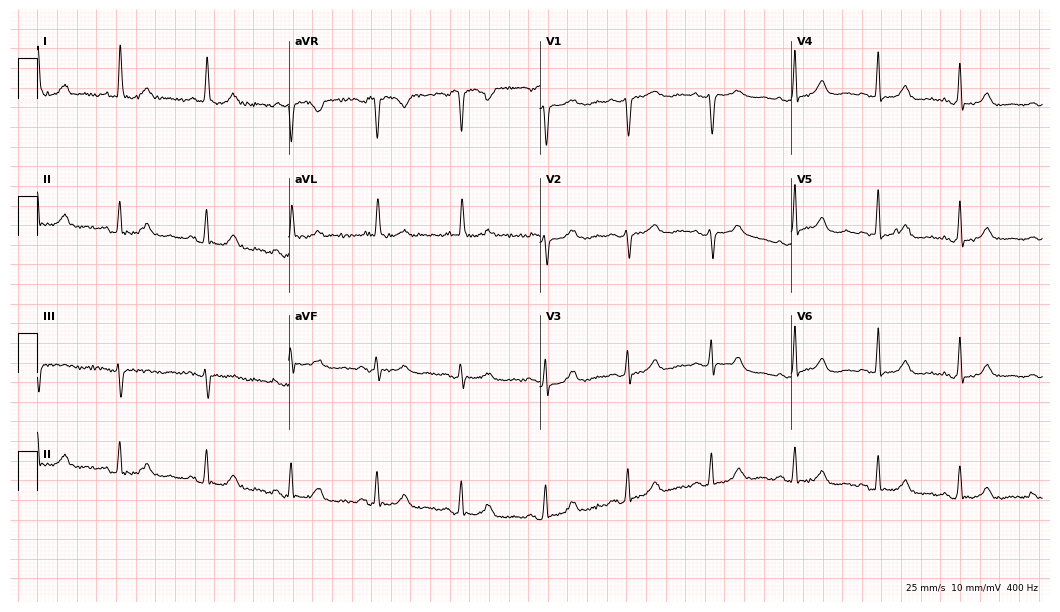
12-lead ECG (10.2-second recording at 400 Hz) from a female patient, 72 years old. Screened for six findings — first-degree AV block, right bundle branch block, left bundle branch block, sinus bradycardia, atrial fibrillation, sinus tachycardia — none is recorded.